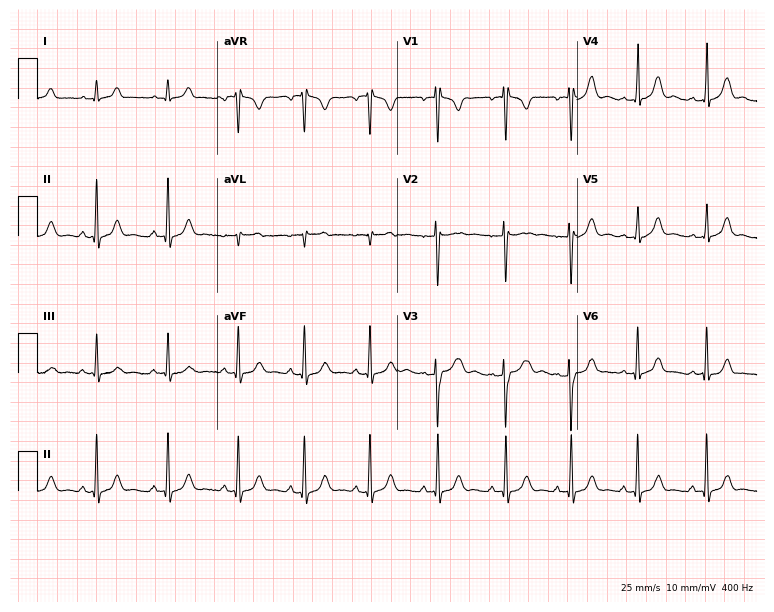
12-lead ECG (7.3-second recording at 400 Hz) from a female patient, 21 years old. Labelled as a normal ECG.